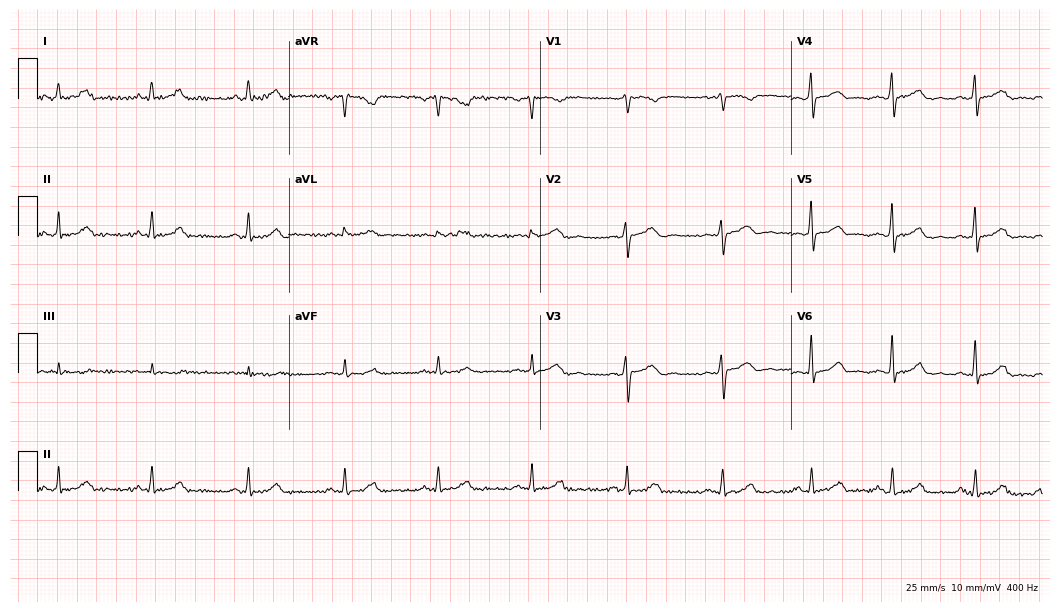
Resting 12-lead electrocardiogram (10.2-second recording at 400 Hz). Patient: a female, 41 years old. Read as a normal ECG.